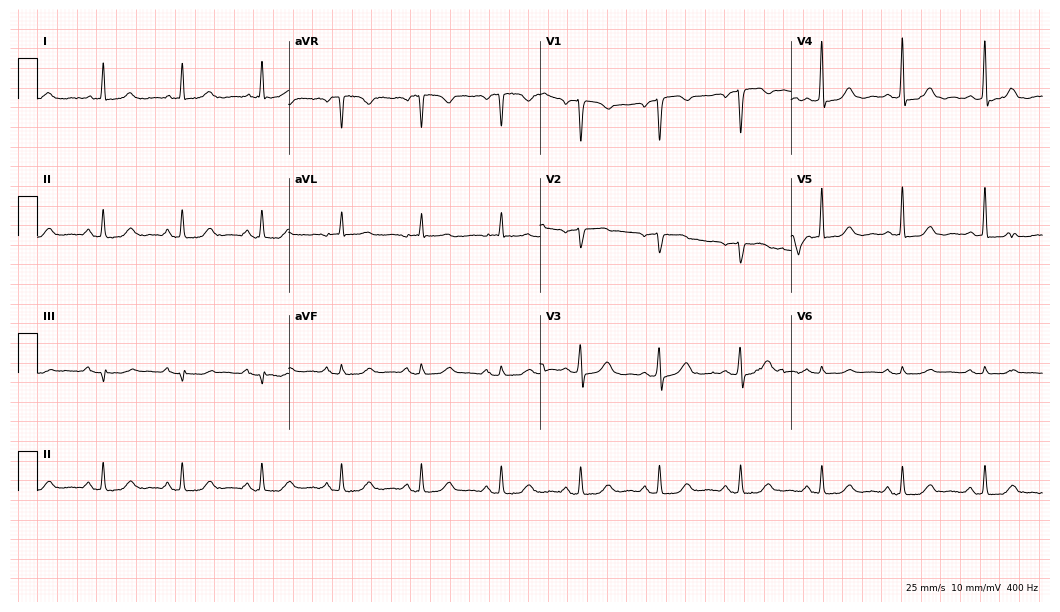
12-lead ECG (10.2-second recording at 400 Hz) from an 81-year-old female patient. Labelled as a normal ECG.